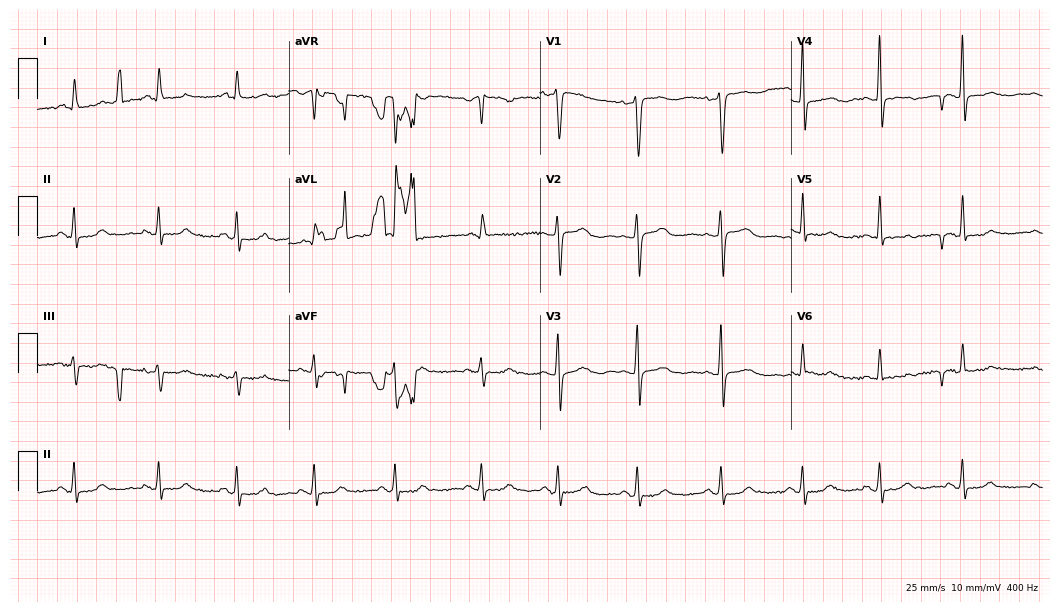
Standard 12-lead ECG recorded from a woman, 59 years old (10.2-second recording at 400 Hz). None of these six findings is recorded: first-degree AV block, right bundle branch block, left bundle branch block, sinus bradycardia, atrial fibrillation, sinus tachycardia. Other findings, if any, are not listed.